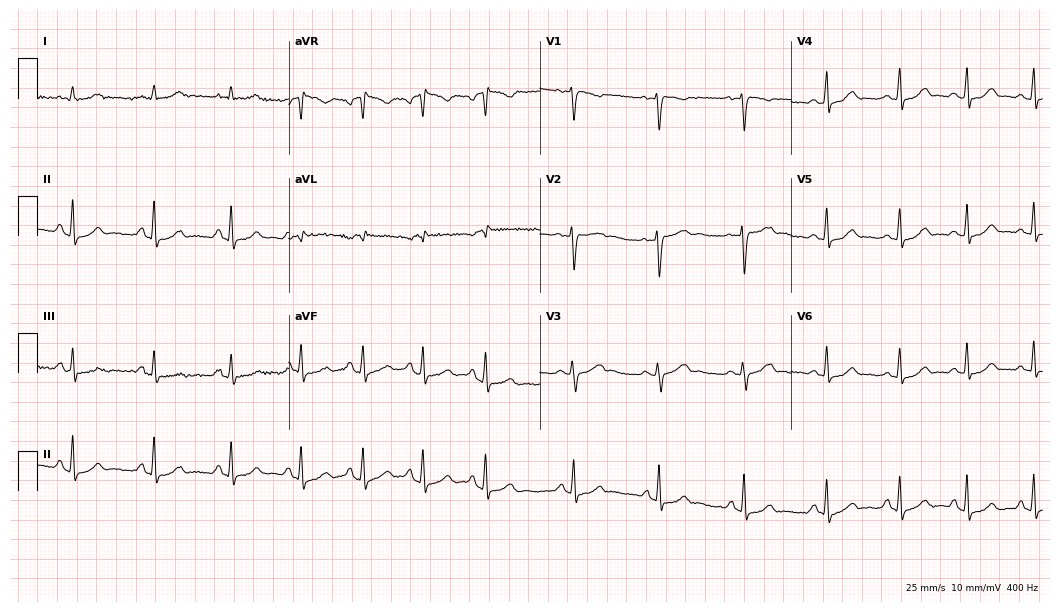
Resting 12-lead electrocardiogram (10.2-second recording at 400 Hz). Patient: a female, 33 years old. Read as a normal ECG.